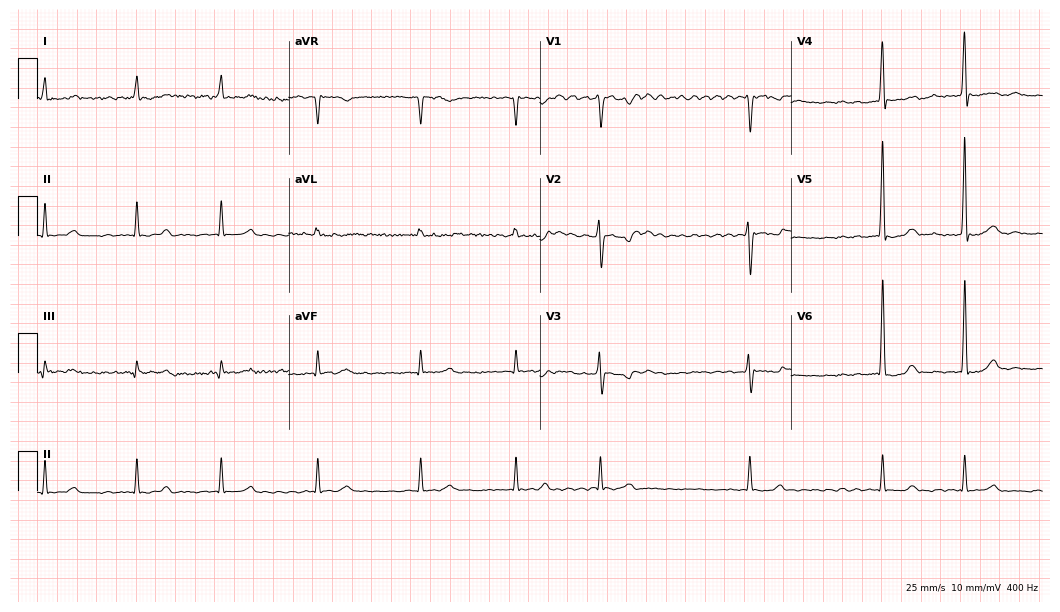
ECG — a 39-year-old woman. Findings include atrial fibrillation.